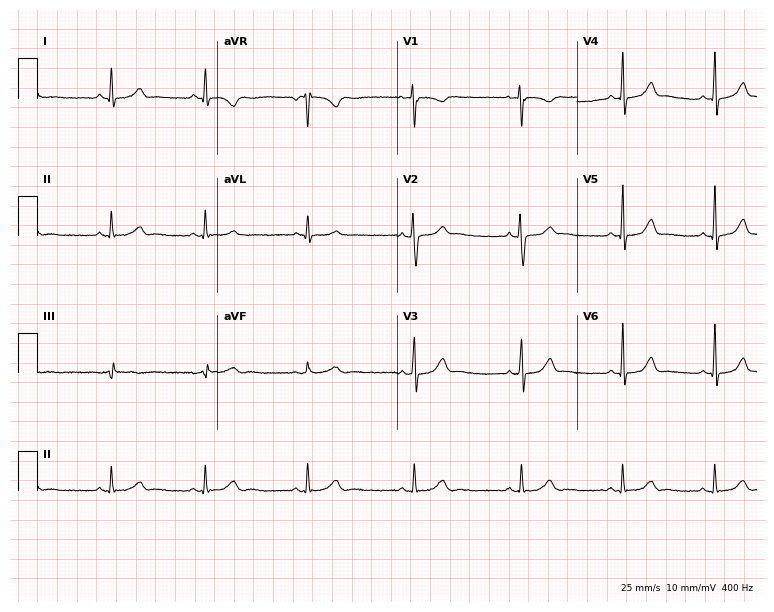
Electrocardiogram, a woman, 20 years old. Overall reading on record: normal ECG.